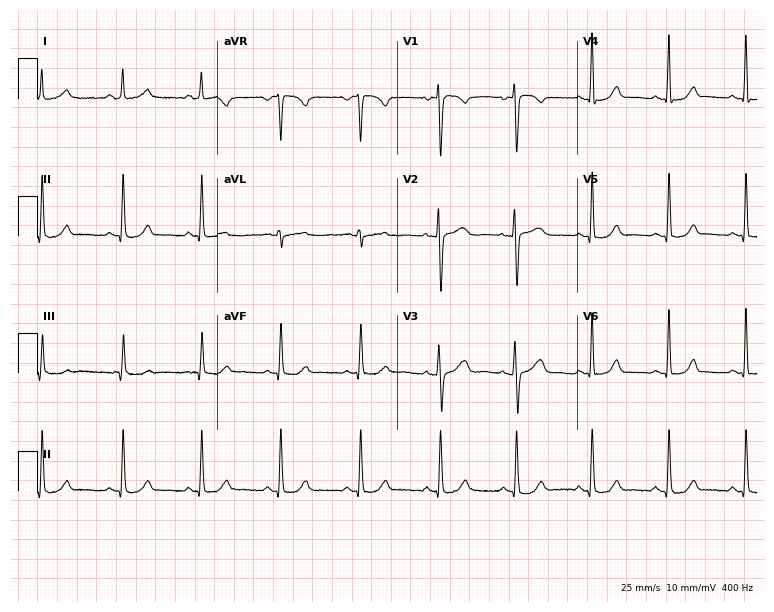
Electrocardiogram (7.3-second recording at 400 Hz), a woman, 36 years old. Overall reading on record: normal ECG.